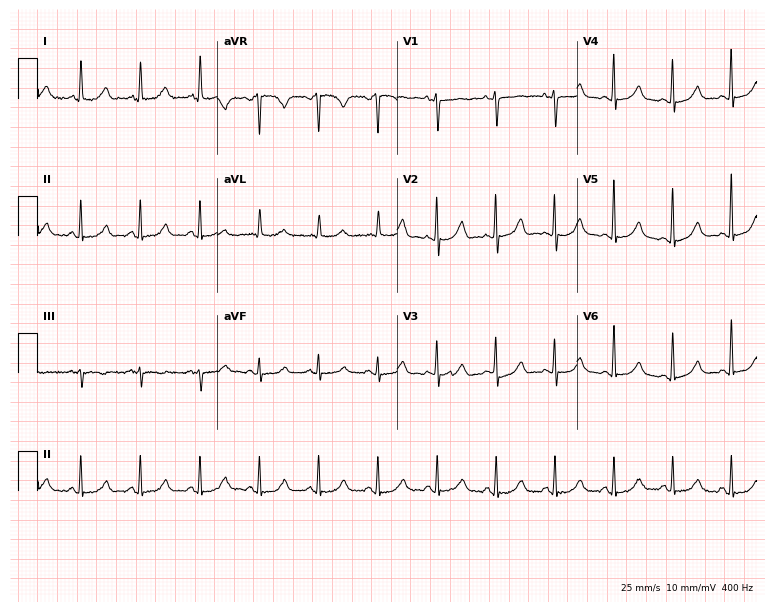
ECG (7.3-second recording at 400 Hz) — a woman, 70 years old. Labelled as a normal ECG.